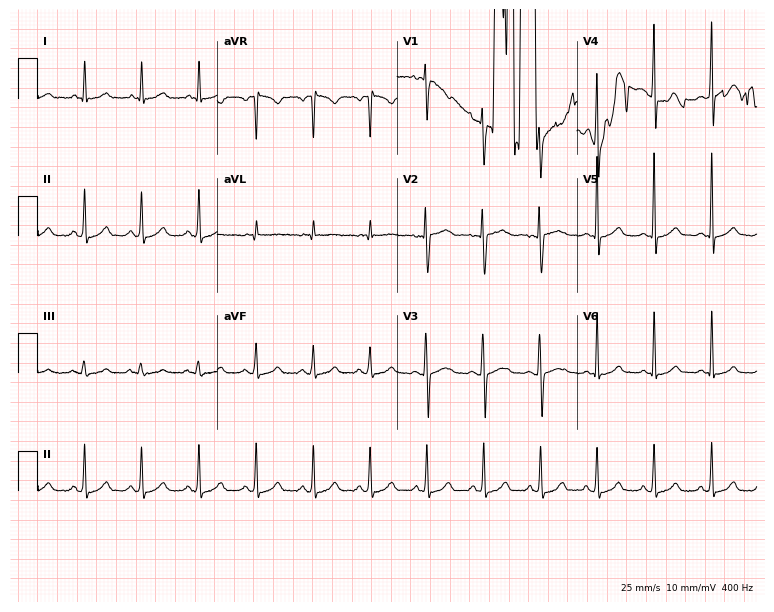
Electrocardiogram (7.3-second recording at 400 Hz), a woman, 20 years old. Interpretation includes sinus tachycardia (a sinus rate of 100 beats per minute or more).